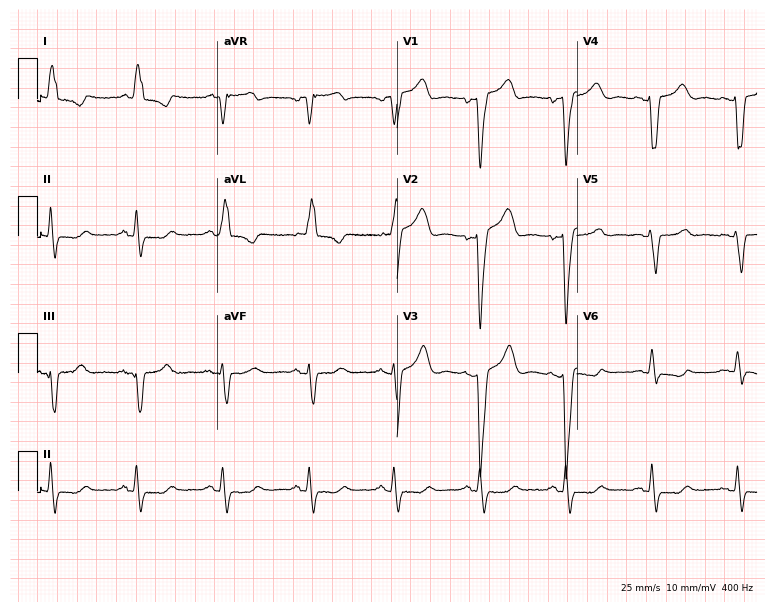
12-lead ECG from an 81-year-old woman. Findings include left bundle branch block.